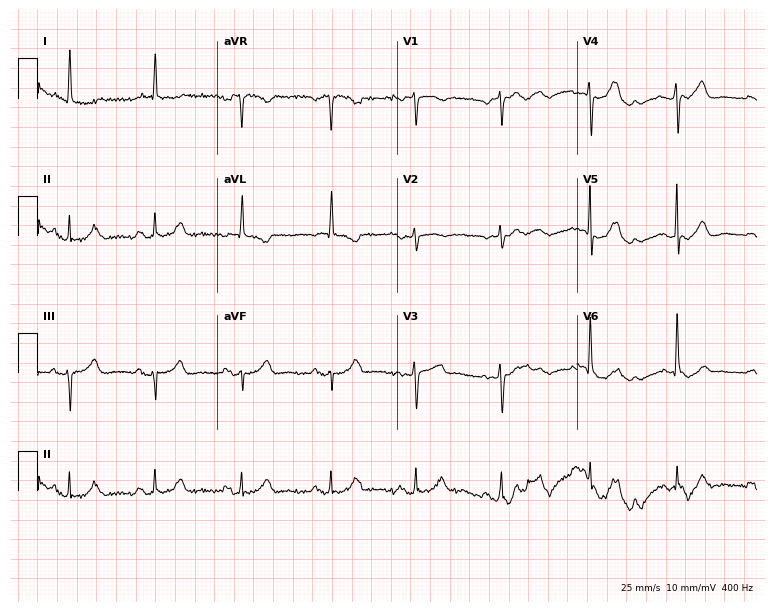
Resting 12-lead electrocardiogram (7.3-second recording at 400 Hz). Patient: an 83-year-old woman. None of these six findings is recorded: first-degree AV block, right bundle branch block, left bundle branch block, sinus bradycardia, atrial fibrillation, sinus tachycardia. Other findings, if any, are not listed.